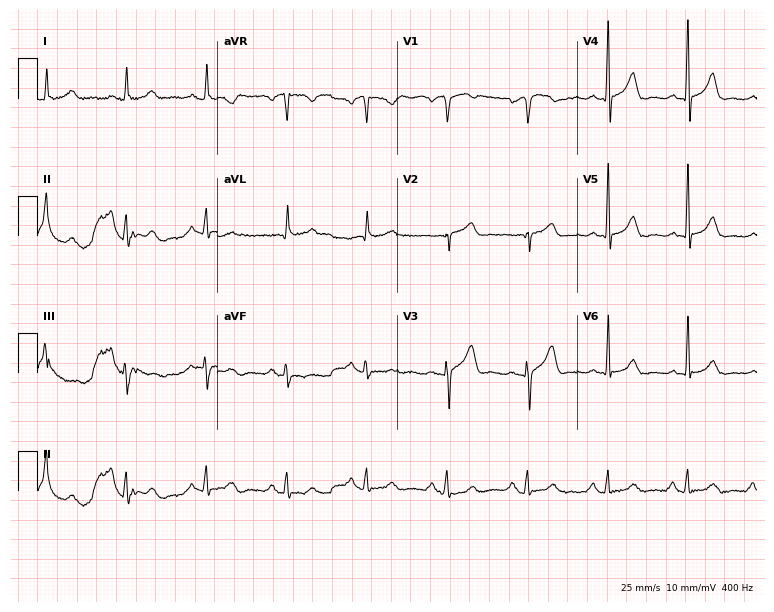
Resting 12-lead electrocardiogram. Patient: a 72-year-old man. Read as a normal ECG.